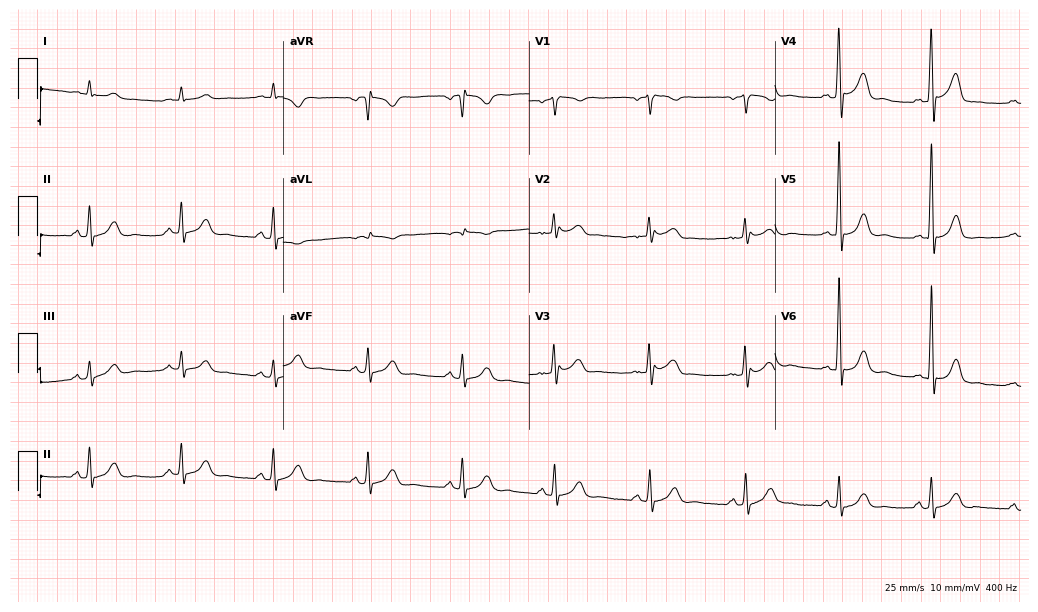
Electrocardiogram (10-second recording at 400 Hz), a 74-year-old man. Overall reading on record: normal ECG.